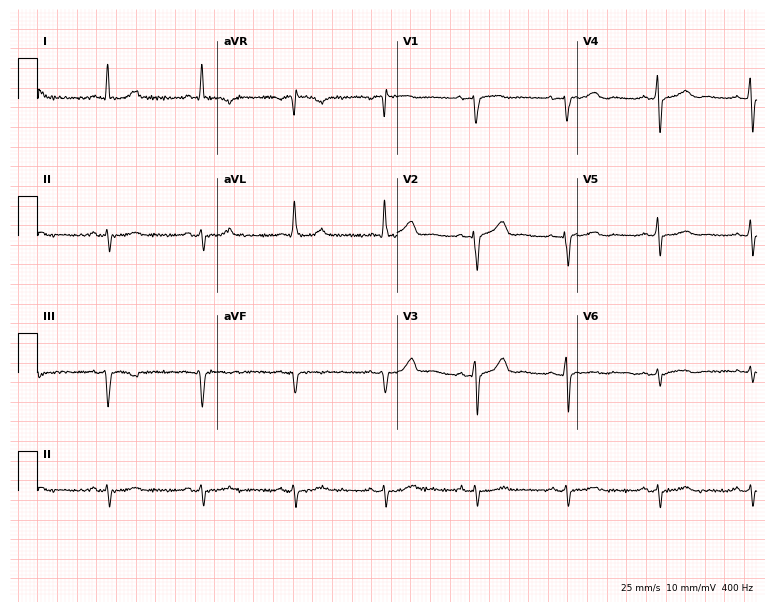
12-lead ECG (7.3-second recording at 400 Hz) from a 69-year-old female patient. Screened for six findings — first-degree AV block, right bundle branch block, left bundle branch block, sinus bradycardia, atrial fibrillation, sinus tachycardia — none is recorded. Only these six findings were labelled.